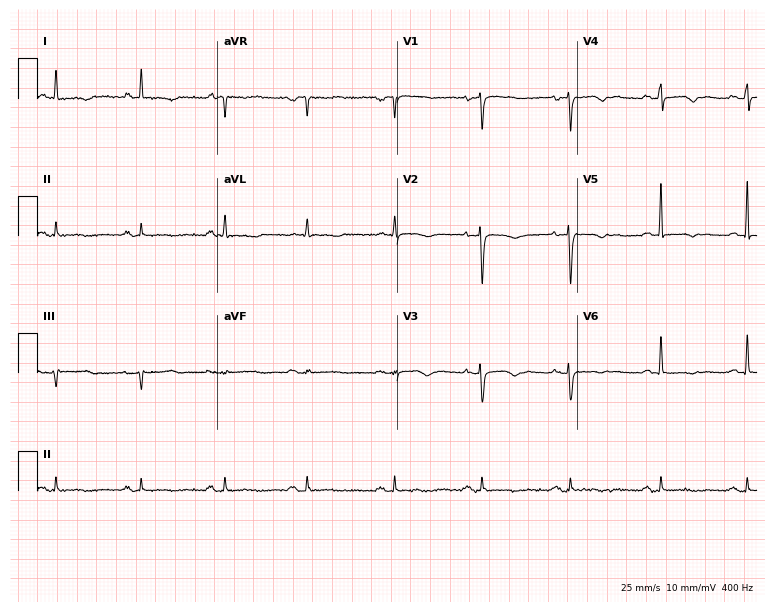
ECG — a woman, 69 years old. Labelled as a normal ECG.